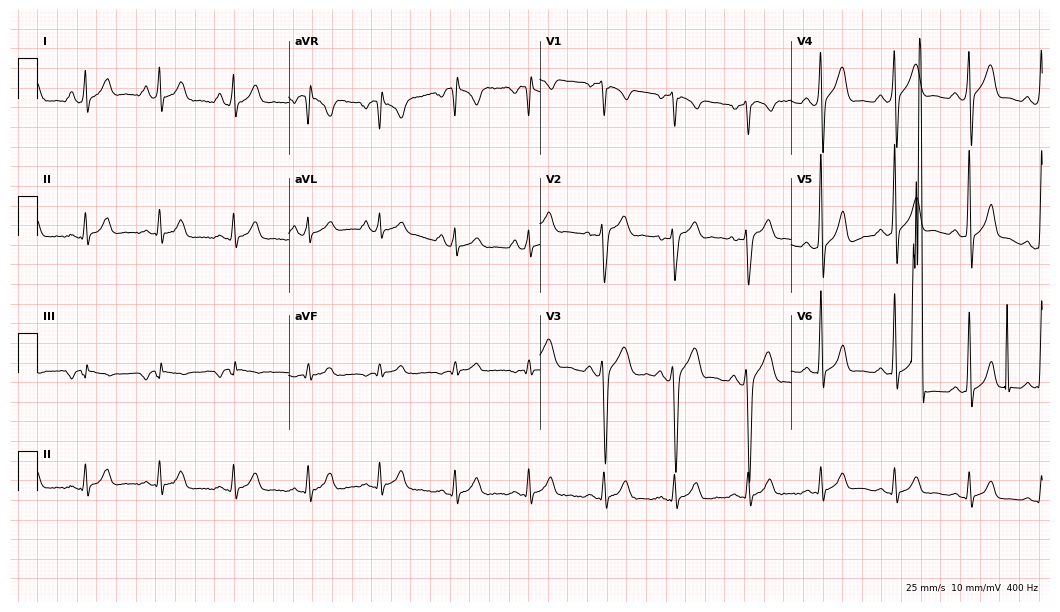
12-lead ECG from a 24-year-old male patient. Recorded interpretation: within normal limits.